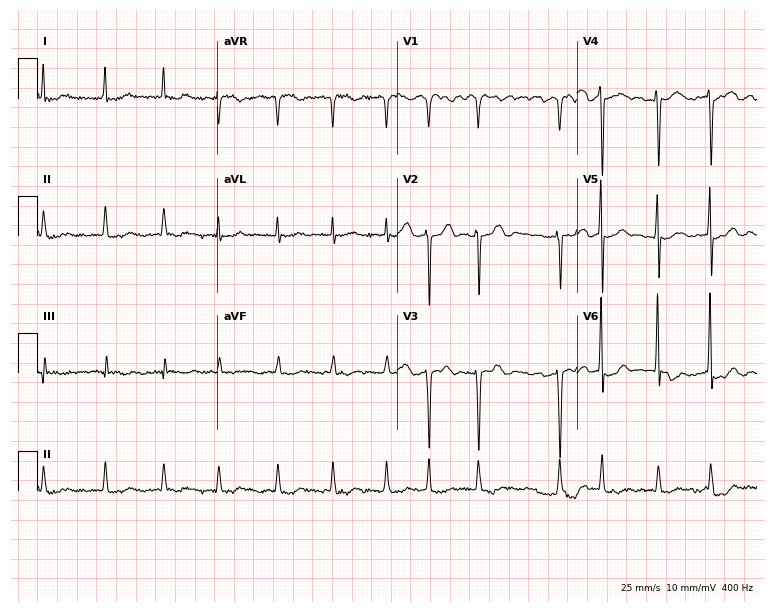
Standard 12-lead ECG recorded from a woman, 84 years old. The tracing shows atrial fibrillation.